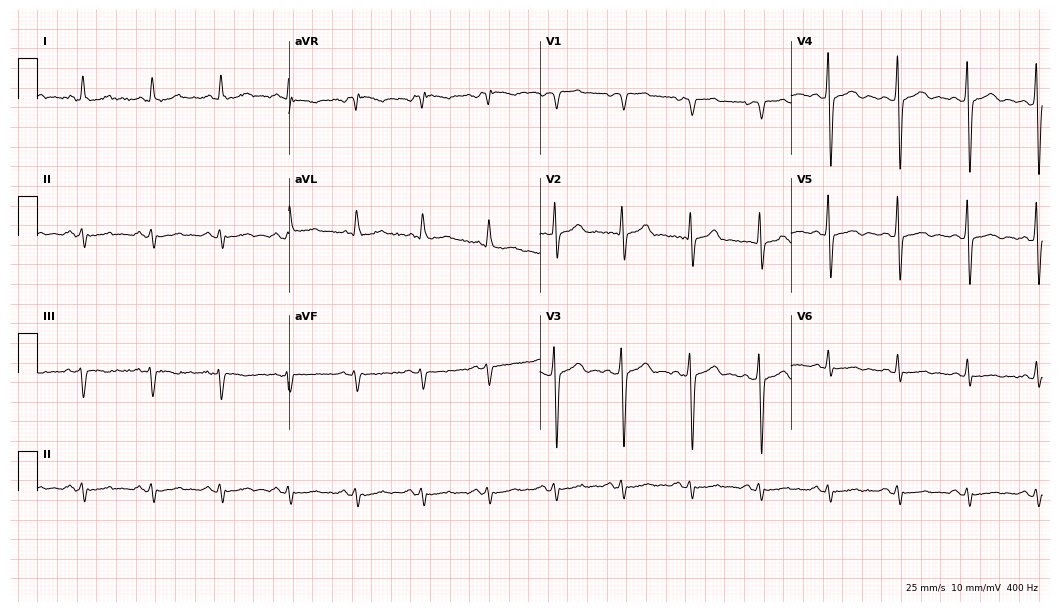
Resting 12-lead electrocardiogram. Patient: a 70-year-old man. None of these six findings is recorded: first-degree AV block, right bundle branch block, left bundle branch block, sinus bradycardia, atrial fibrillation, sinus tachycardia.